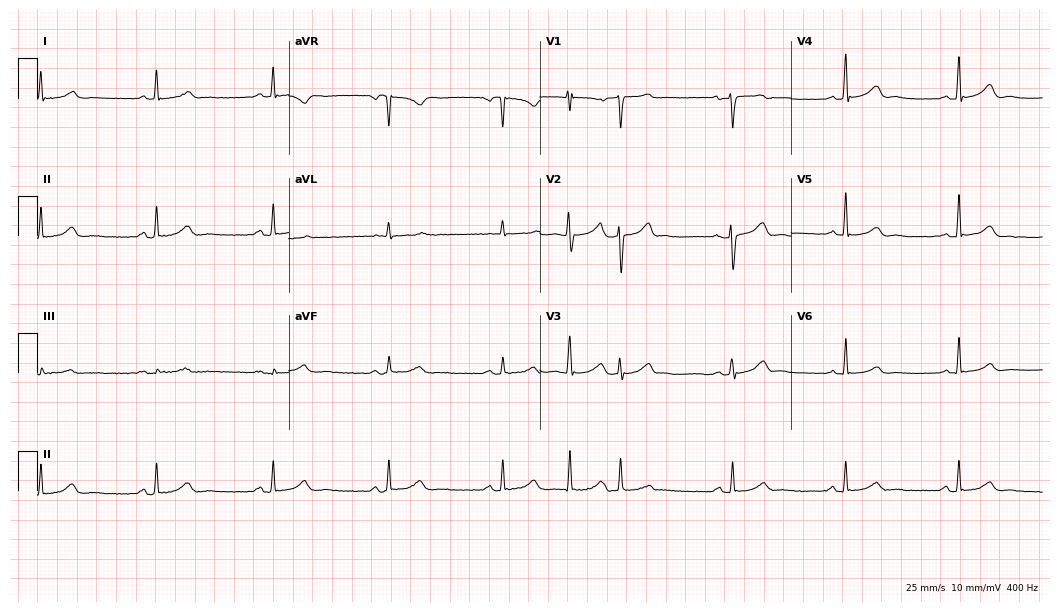
12-lead ECG from a female, 49 years old. No first-degree AV block, right bundle branch block, left bundle branch block, sinus bradycardia, atrial fibrillation or sinus tachycardia recorded for this tracing.